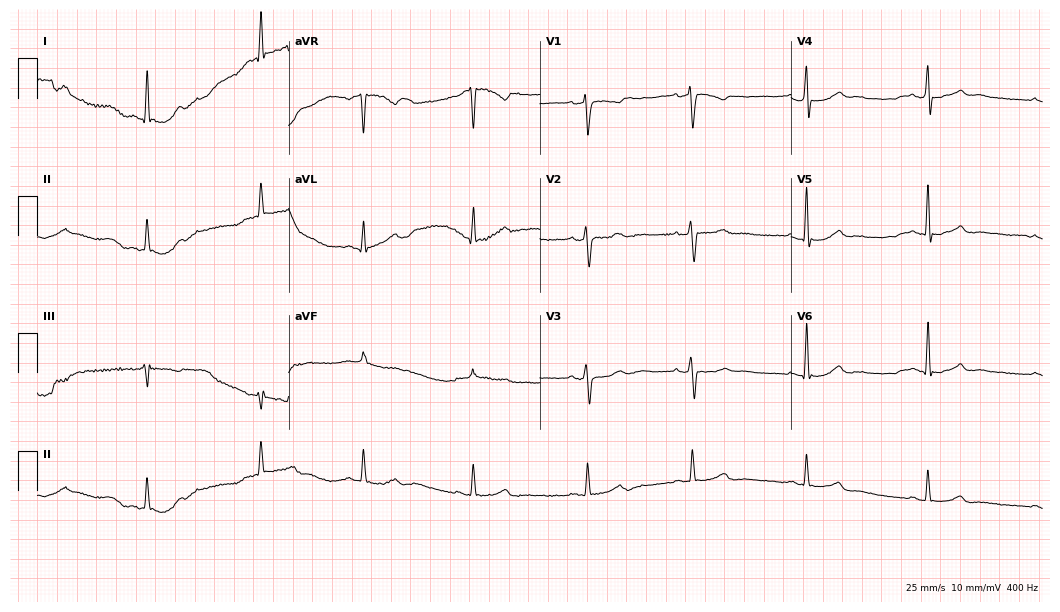
Standard 12-lead ECG recorded from a 49-year-old female (10.2-second recording at 400 Hz). None of these six findings is recorded: first-degree AV block, right bundle branch block, left bundle branch block, sinus bradycardia, atrial fibrillation, sinus tachycardia. Findings outside these six are not listed.